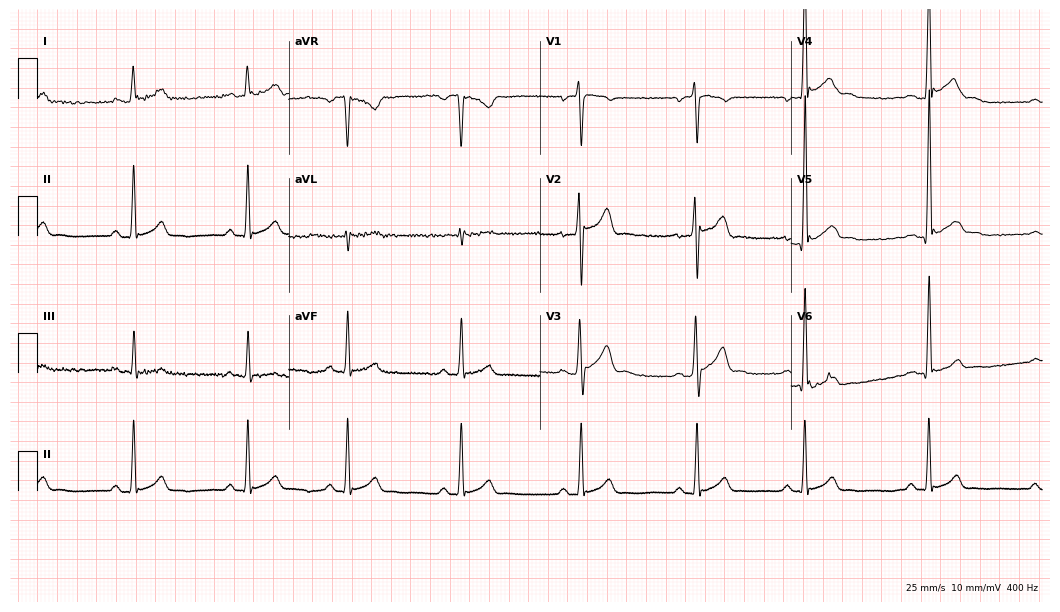
12-lead ECG from a male patient, 17 years old (10.2-second recording at 400 Hz). No first-degree AV block, right bundle branch block, left bundle branch block, sinus bradycardia, atrial fibrillation or sinus tachycardia recorded for this tracing. Other findings, if any, are not listed.